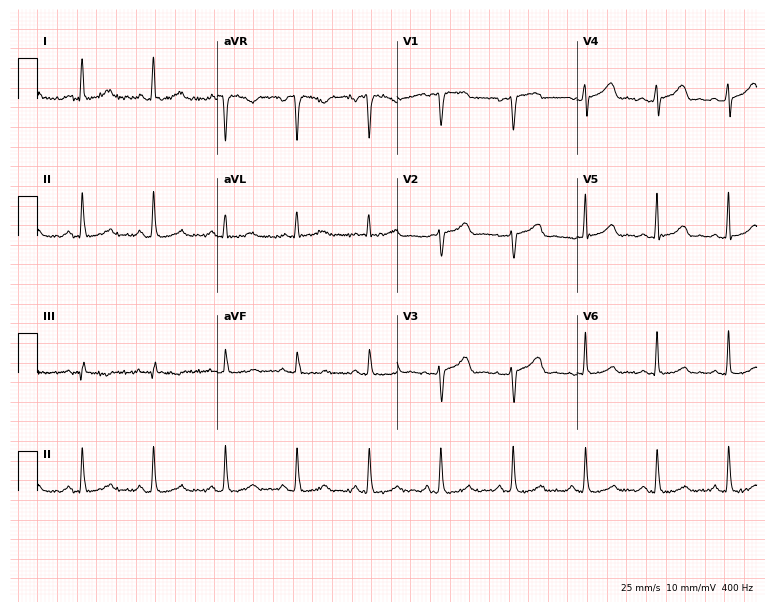
Resting 12-lead electrocardiogram (7.3-second recording at 400 Hz). Patient: a 52-year-old female. Read as a normal ECG.